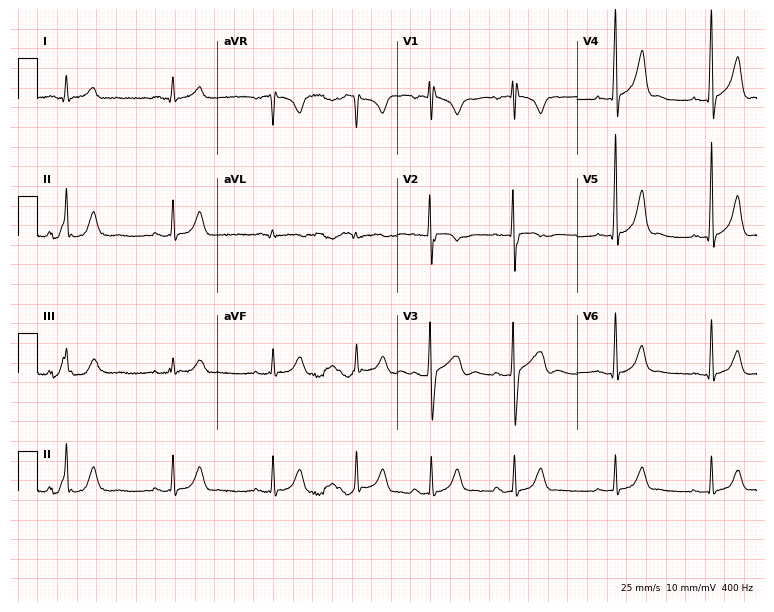
Standard 12-lead ECG recorded from a male patient, 17 years old. Read as a normal ECG.